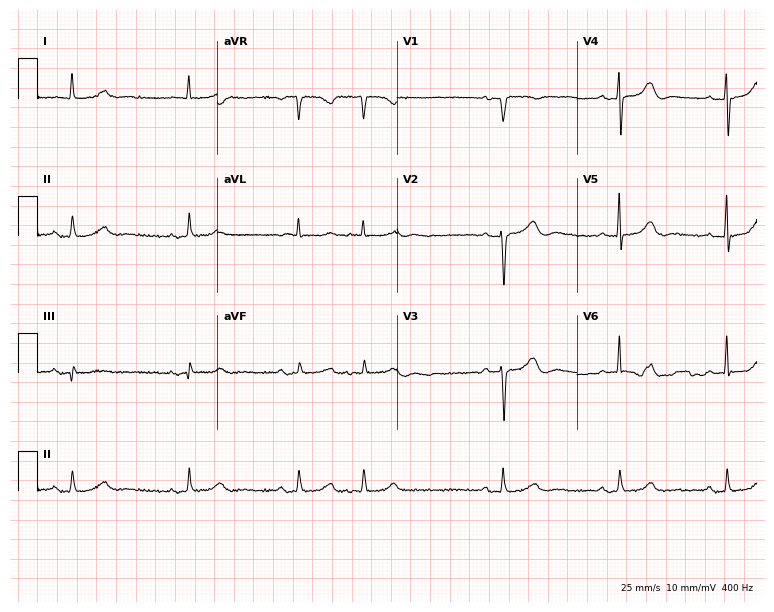
12-lead ECG (7.3-second recording at 400 Hz) from a 74-year-old female. Screened for six findings — first-degree AV block, right bundle branch block, left bundle branch block, sinus bradycardia, atrial fibrillation, sinus tachycardia — none is recorded. Findings outside these six are not listed.